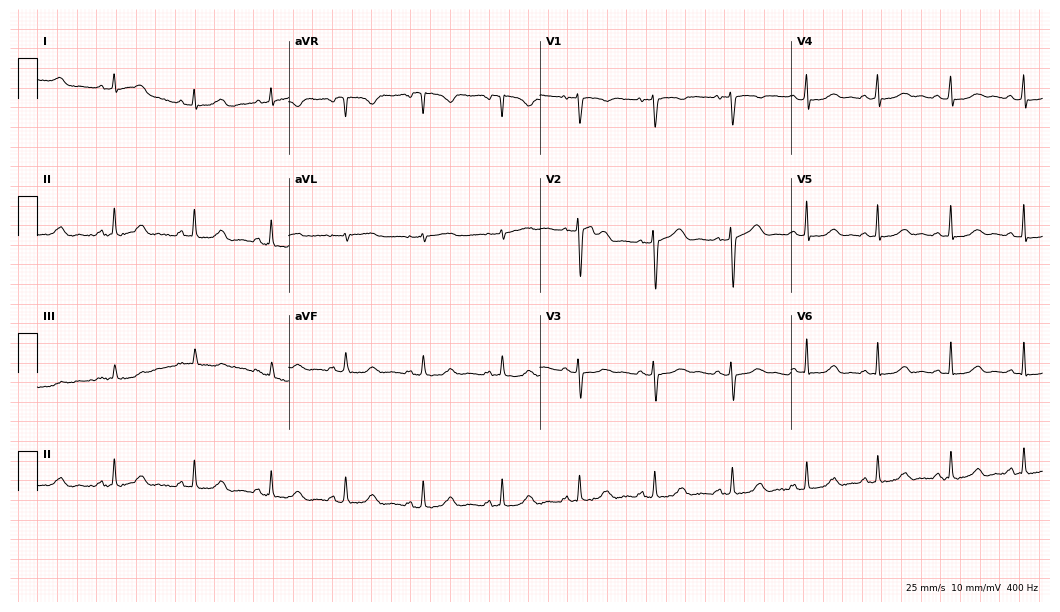
Electrocardiogram, a 32-year-old female. Overall reading on record: normal ECG.